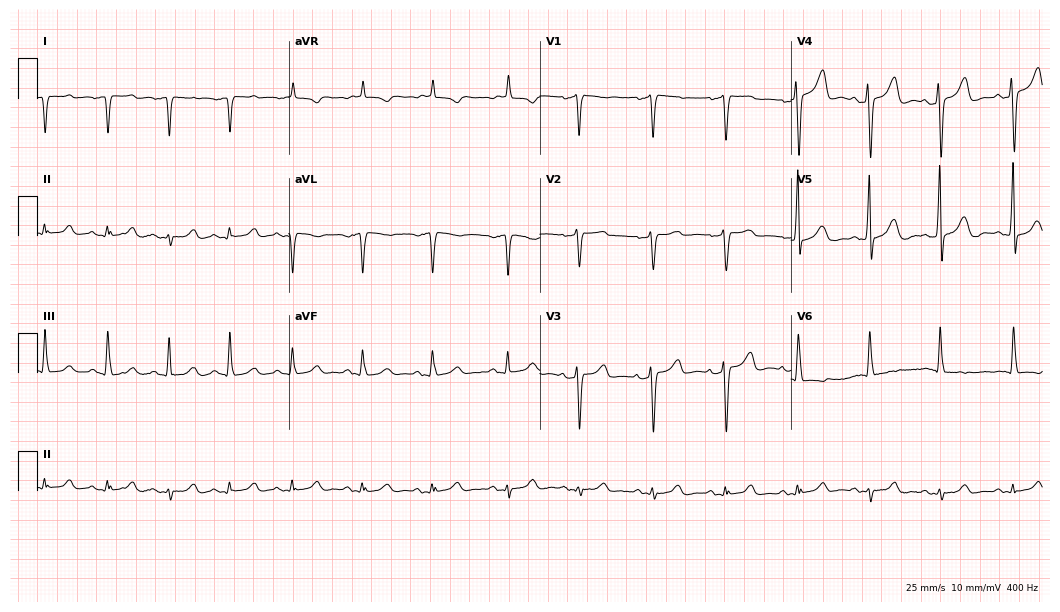
12-lead ECG from a female patient, 58 years old (10.2-second recording at 400 Hz). No first-degree AV block, right bundle branch block (RBBB), left bundle branch block (LBBB), sinus bradycardia, atrial fibrillation (AF) or sinus tachycardia recorded for this tracing. Only these six findings were labelled.